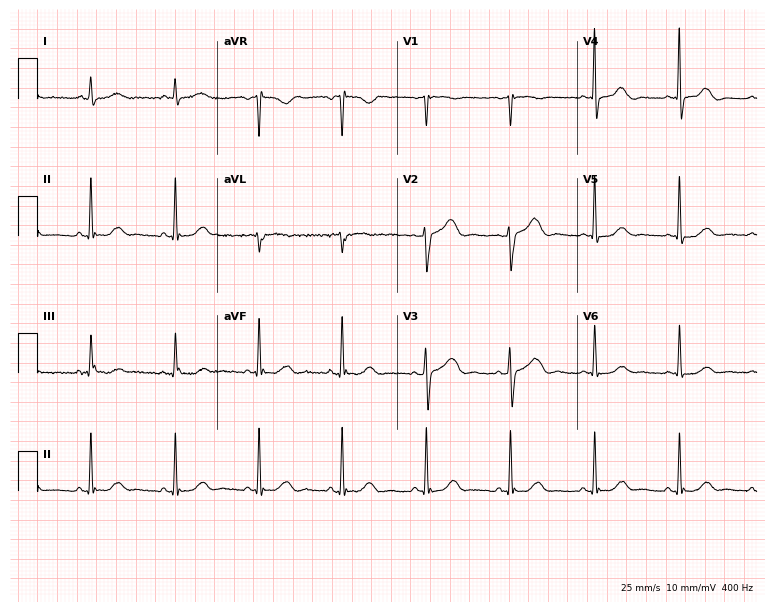
12-lead ECG from a 78-year-old female. No first-degree AV block, right bundle branch block (RBBB), left bundle branch block (LBBB), sinus bradycardia, atrial fibrillation (AF) or sinus tachycardia recorded for this tracing. Findings outside these six are not listed.